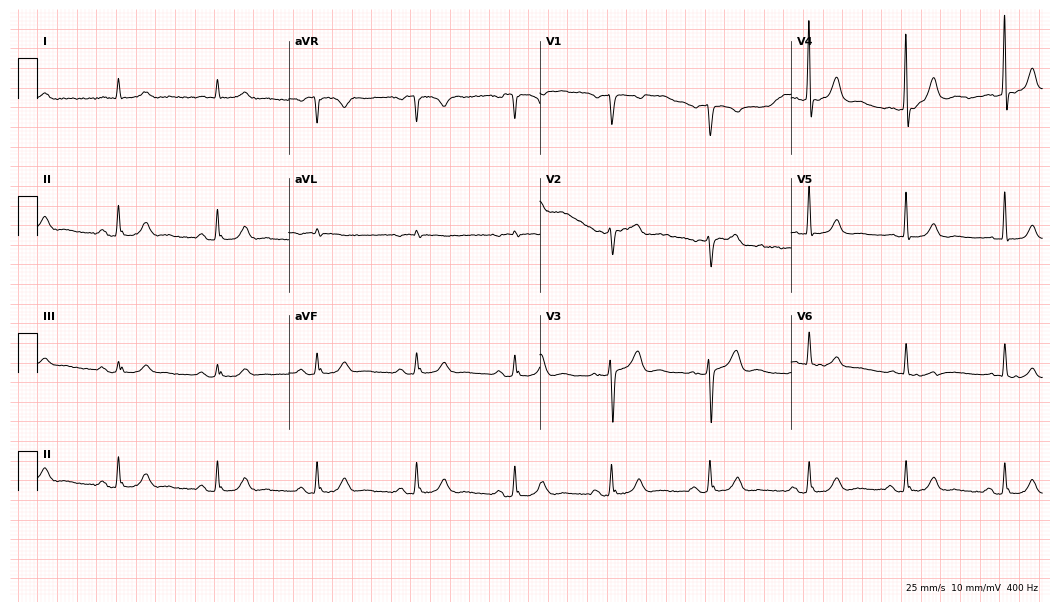
Electrocardiogram (10.2-second recording at 400 Hz), a man, 75 years old. Overall reading on record: normal ECG.